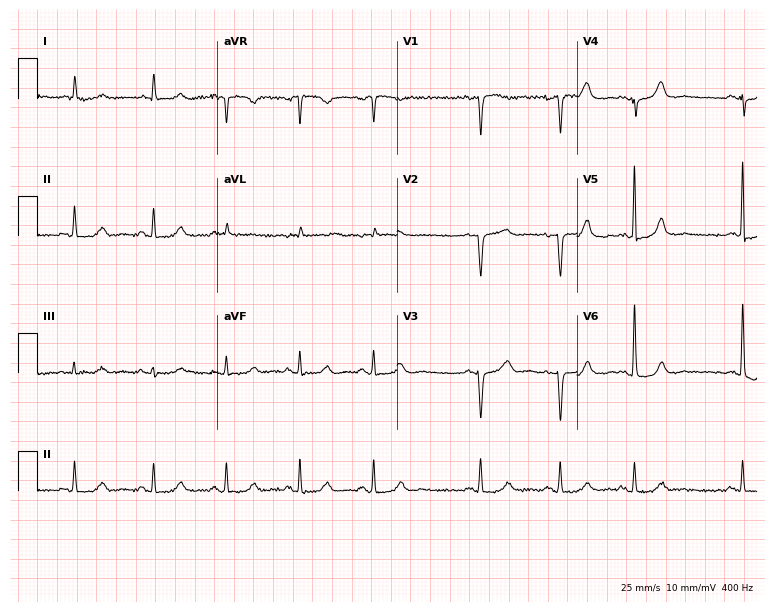
Resting 12-lead electrocardiogram. Patient: a 78-year-old female. None of these six findings is recorded: first-degree AV block, right bundle branch block (RBBB), left bundle branch block (LBBB), sinus bradycardia, atrial fibrillation (AF), sinus tachycardia.